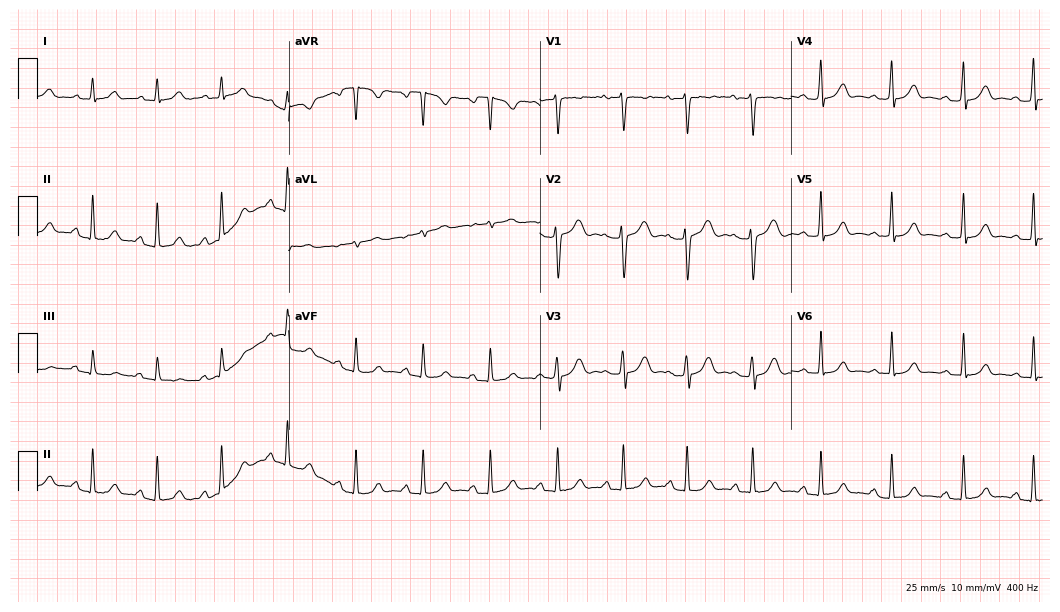
ECG (10.2-second recording at 400 Hz) — a female patient, 20 years old. Labelled as a normal ECG.